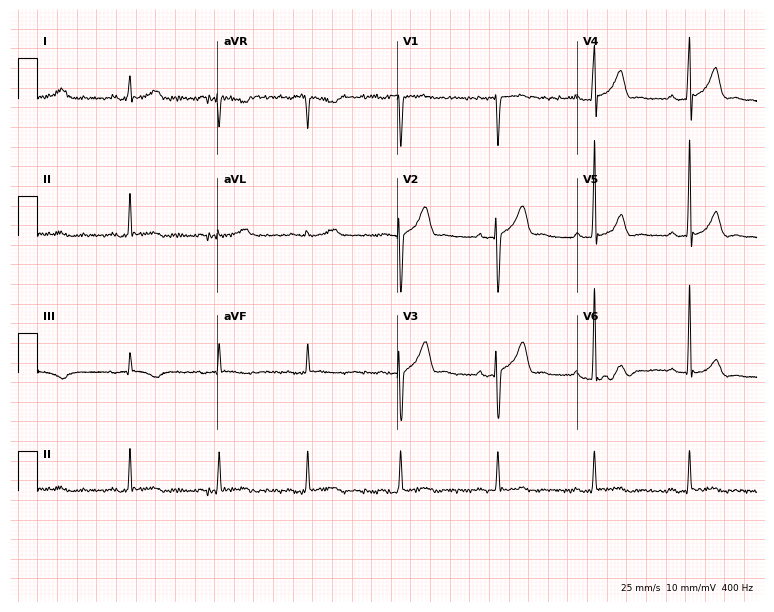
12-lead ECG from a man, 42 years old. No first-degree AV block, right bundle branch block, left bundle branch block, sinus bradycardia, atrial fibrillation or sinus tachycardia recorded for this tracing.